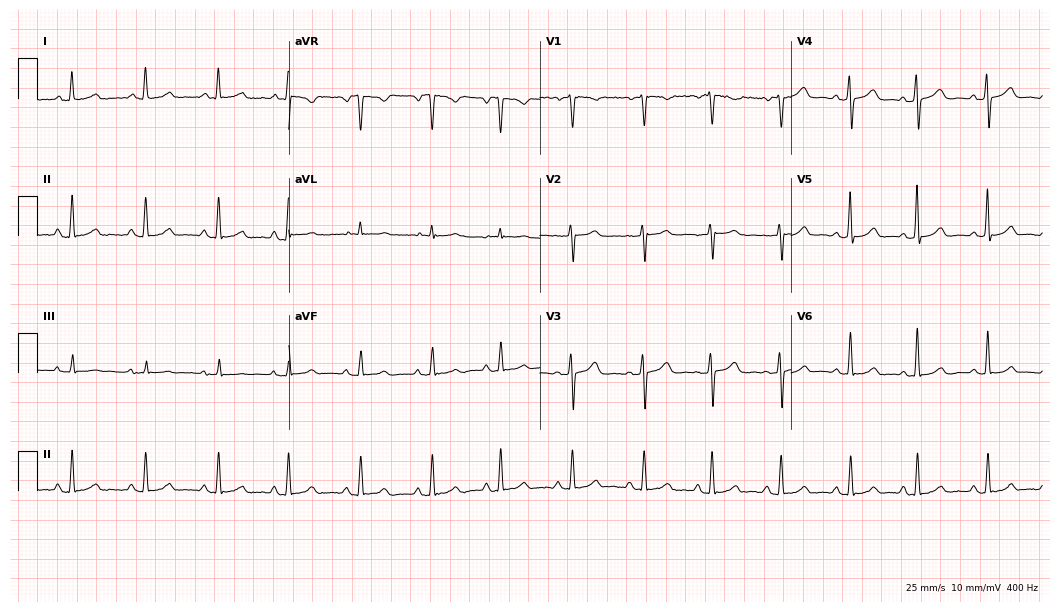
Electrocardiogram, a female, 36 years old. Overall reading on record: normal ECG.